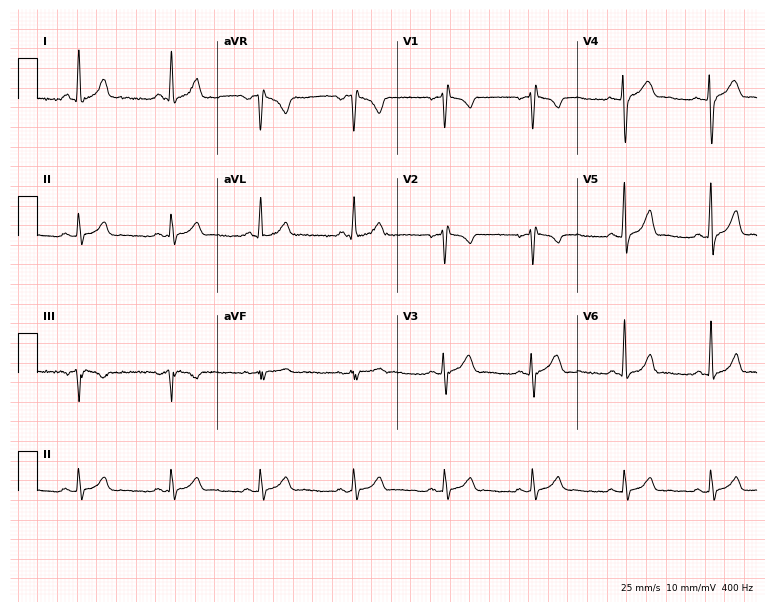
12-lead ECG from a male patient, 28 years old (7.3-second recording at 400 Hz). No first-degree AV block, right bundle branch block (RBBB), left bundle branch block (LBBB), sinus bradycardia, atrial fibrillation (AF) or sinus tachycardia recorded for this tracing. Other findings, if any, are not listed.